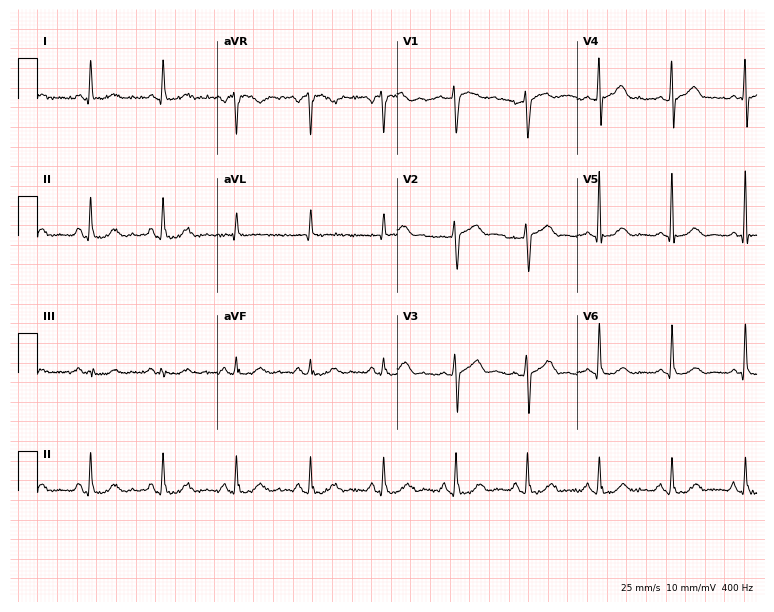
12-lead ECG from a male patient, 72 years old. Screened for six findings — first-degree AV block, right bundle branch block (RBBB), left bundle branch block (LBBB), sinus bradycardia, atrial fibrillation (AF), sinus tachycardia — none is recorded. Findings outside these six are not listed.